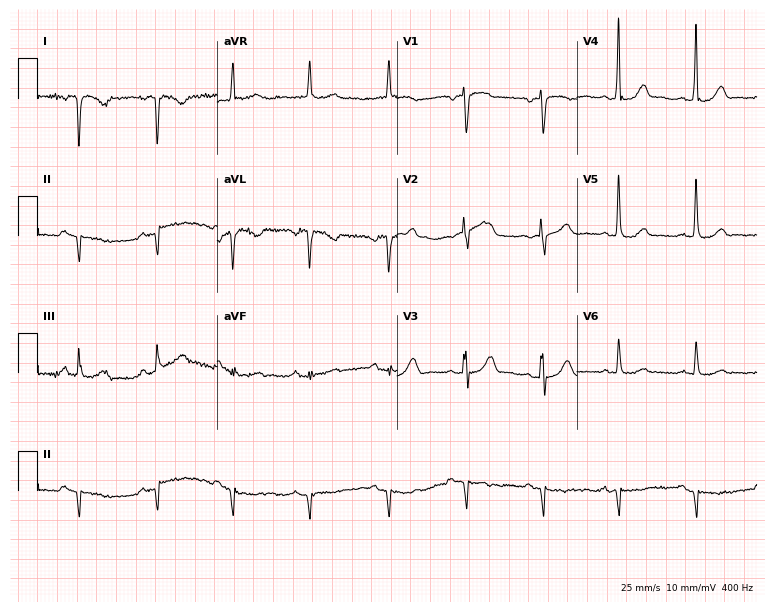
12-lead ECG from a female, 65 years old. Screened for six findings — first-degree AV block, right bundle branch block, left bundle branch block, sinus bradycardia, atrial fibrillation, sinus tachycardia — none is recorded.